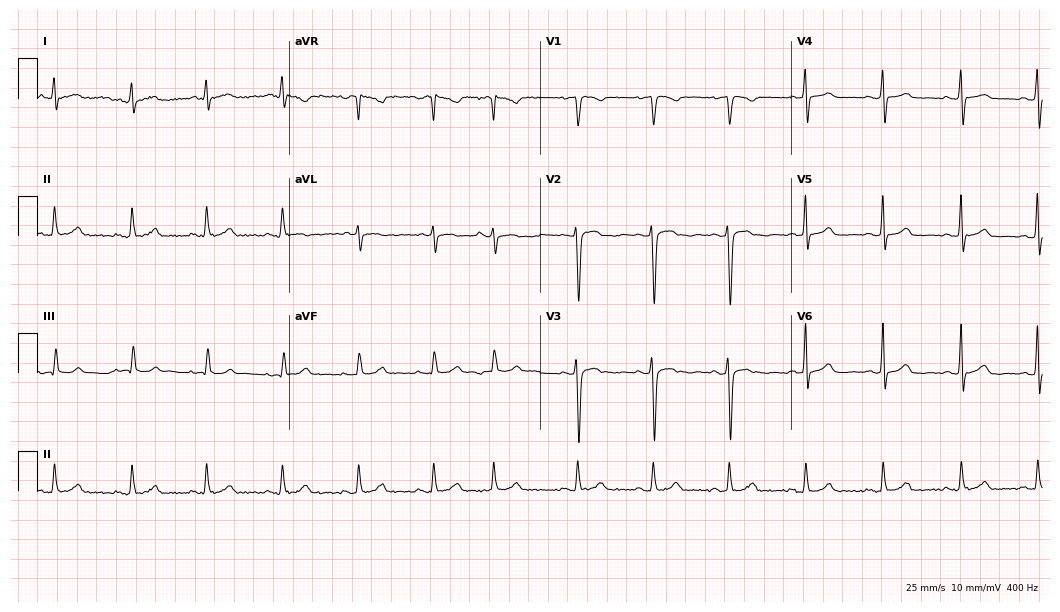
Electrocardiogram, a 29-year-old female. Overall reading on record: normal ECG.